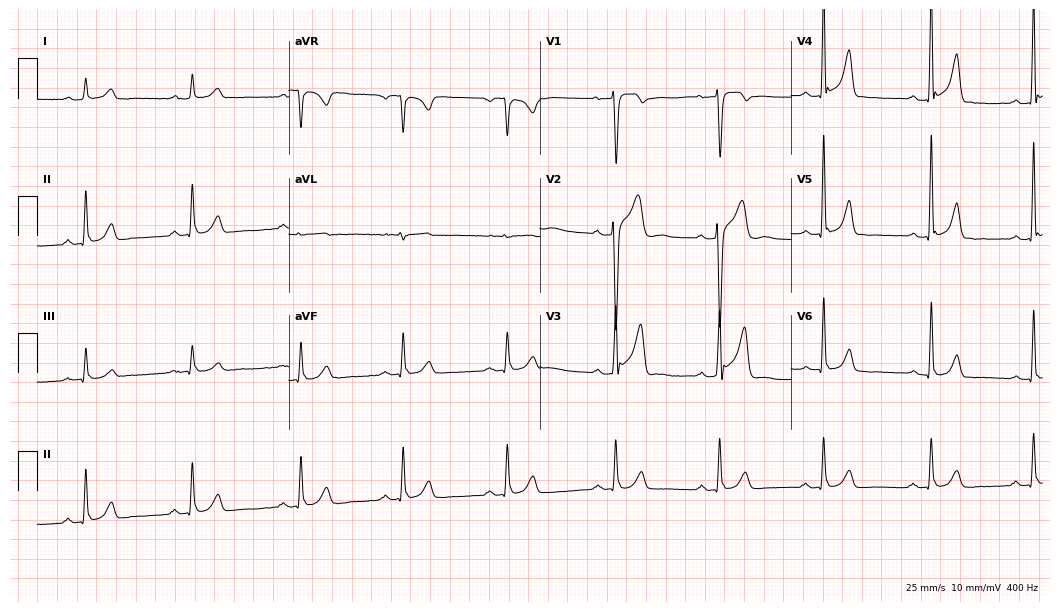
Electrocardiogram (10.2-second recording at 400 Hz), a male, 58 years old. Overall reading on record: normal ECG.